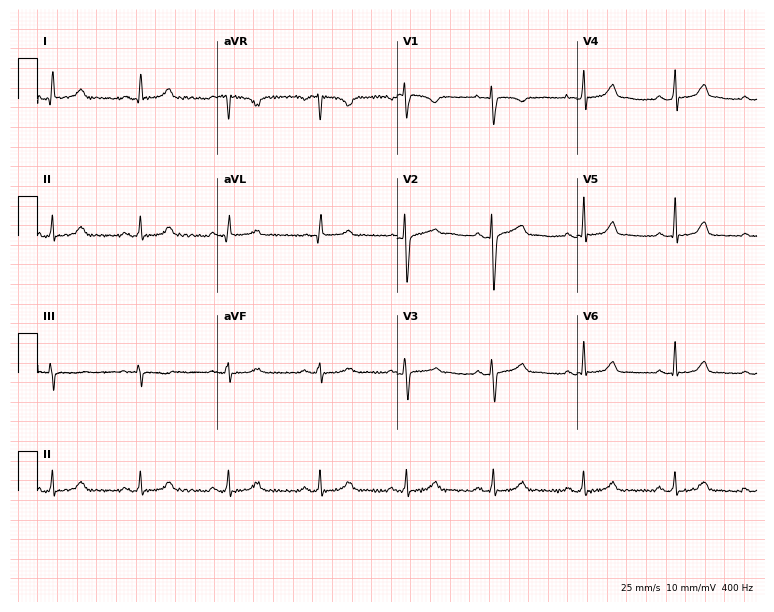
Resting 12-lead electrocardiogram (7.3-second recording at 400 Hz). Patient: a female, 28 years old. None of these six findings is recorded: first-degree AV block, right bundle branch block, left bundle branch block, sinus bradycardia, atrial fibrillation, sinus tachycardia.